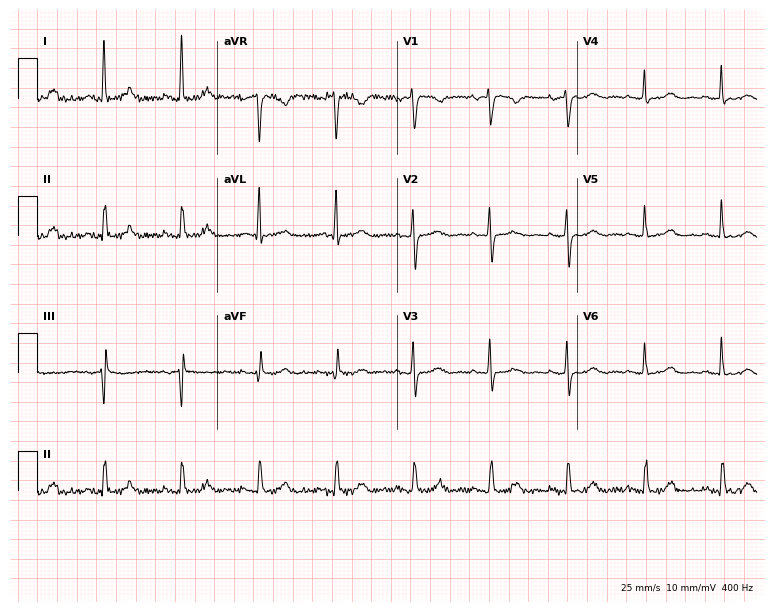
12-lead ECG from a 74-year-old female (7.3-second recording at 400 Hz). Recorded interpretation: within normal limits.